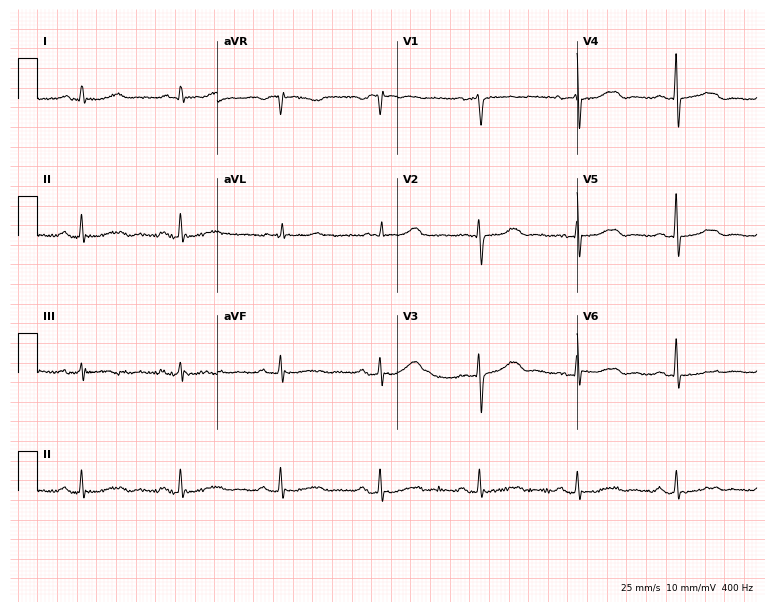
12-lead ECG from a female patient, 77 years old (7.3-second recording at 400 Hz). No first-degree AV block, right bundle branch block, left bundle branch block, sinus bradycardia, atrial fibrillation or sinus tachycardia recorded for this tracing. Only these six findings were labelled.